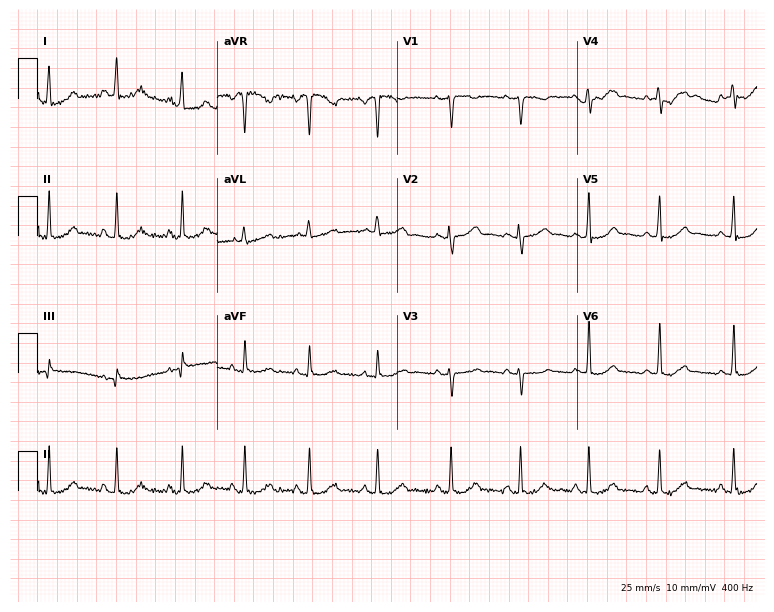
Electrocardiogram, a woman, 30 years old. Of the six screened findings (first-degree AV block, right bundle branch block, left bundle branch block, sinus bradycardia, atrial fibrillation, sinus tachycardia), none is recorded.